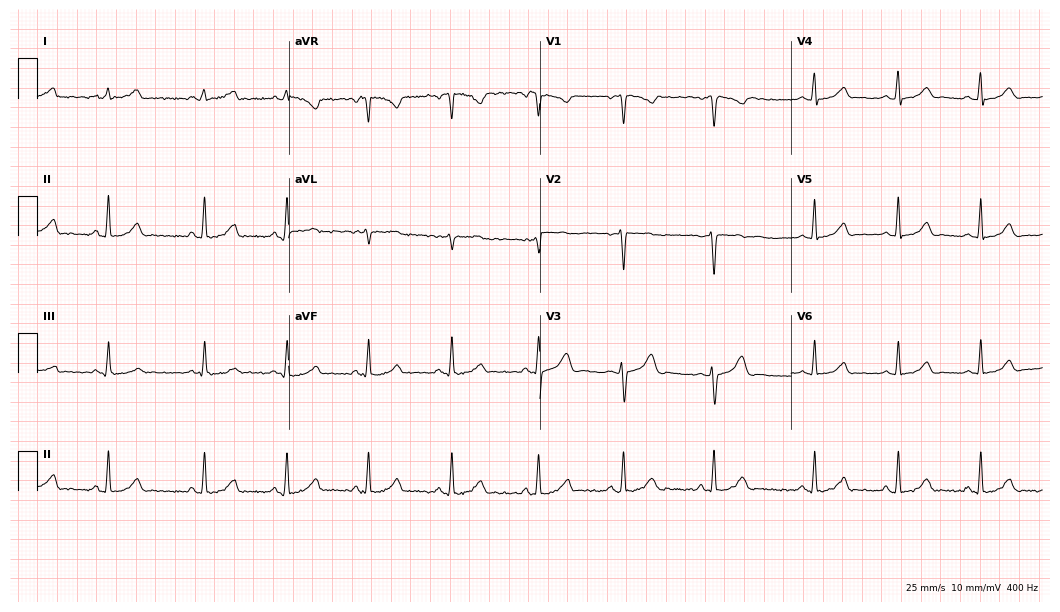
ECG (10.2-second recording at 400 Hz) — a 29-year-old female. Labelled as a normal ECG.